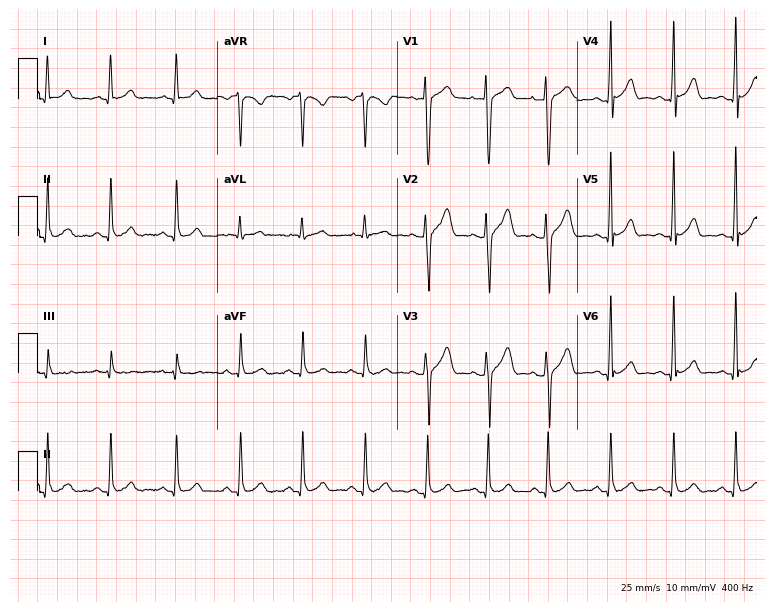
Resting 12-lead electrocardiogram (7.3-second recording at 400 Hz). Patient: a 29-year-old male. Read as a normal ECG.